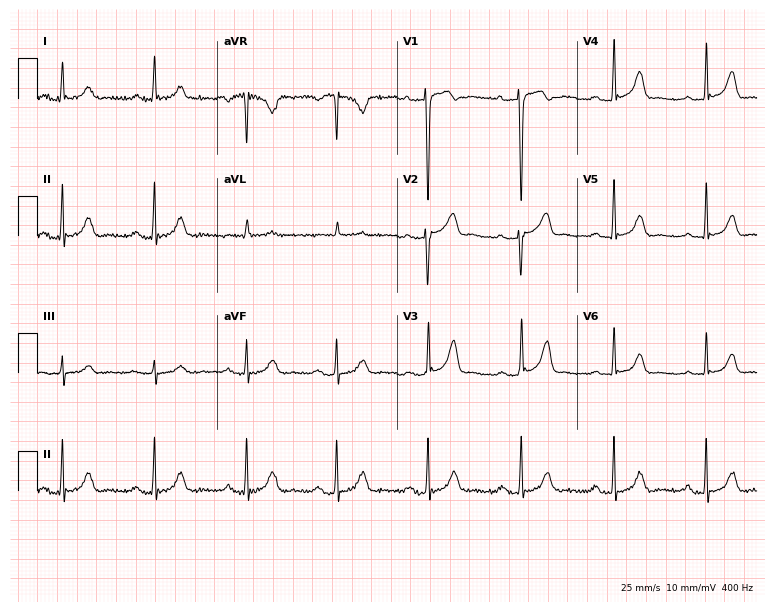
12-lead ECG from a woman, 59 years old (7.3-second recording at 400 Hz). No first-degree AV block, right bundle branch block (RBBB), left bundle branch block (LBBB), sinus bradycardia, atrial fibrillation (AF) or sinus tachycardia recorded for this tracing.